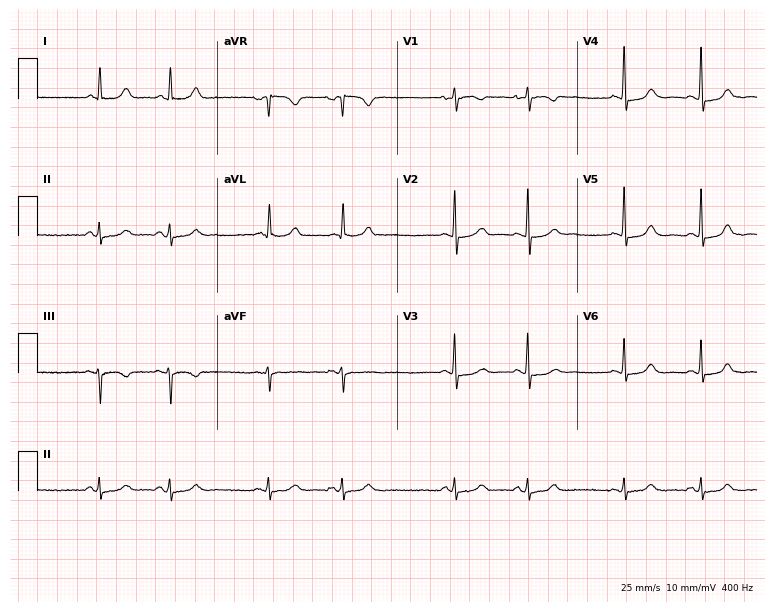
Resting 12-lead electrocardiogram. Patient: a 75-year-old female. Read as a normal ECG.